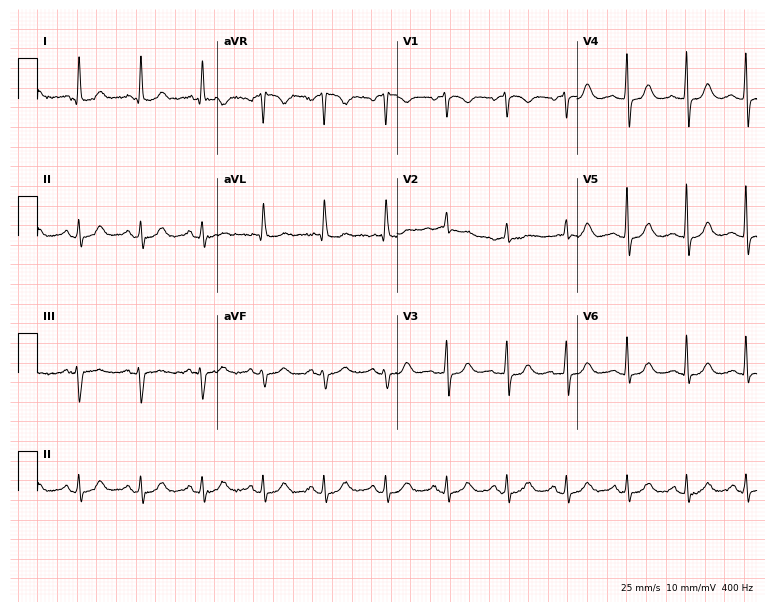
Electrocardiogram (7.3-second recording at 400 Hz), a female patient, 70 years old. Of the six screened findings (first-degree AV block, right bundle branch block (RBBB), left bundle branch block (LBBB), sinus bradycardia, atrial fibrillation (AF), sinus tachycardia), none is recorded. Other findings, if any, are not listed.